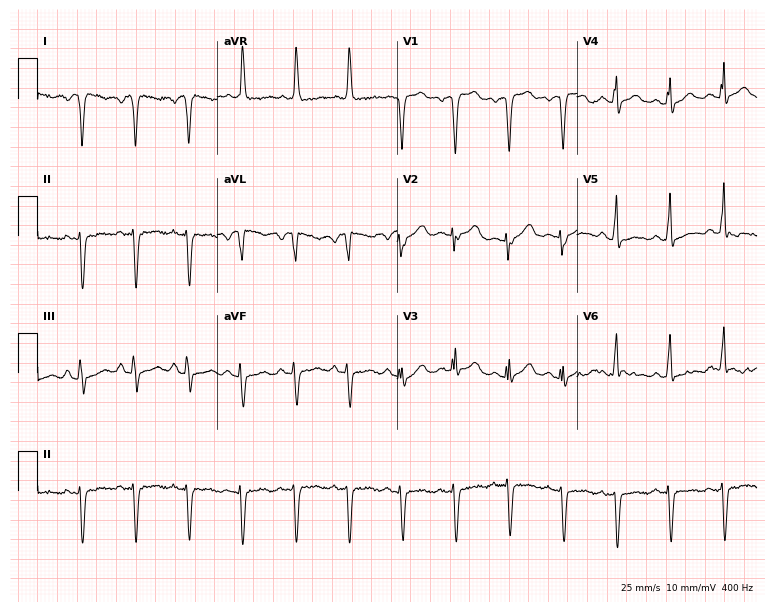
12-lead ECG (7.3-second recording at 400 Hz) from a 61-year-old woman. Screened for six findings — first-degree AV block, right bundle branch block, left bundle branch block, sinus bradycardia, atrial fibrillation, sinus tachycardia — none is recorded.